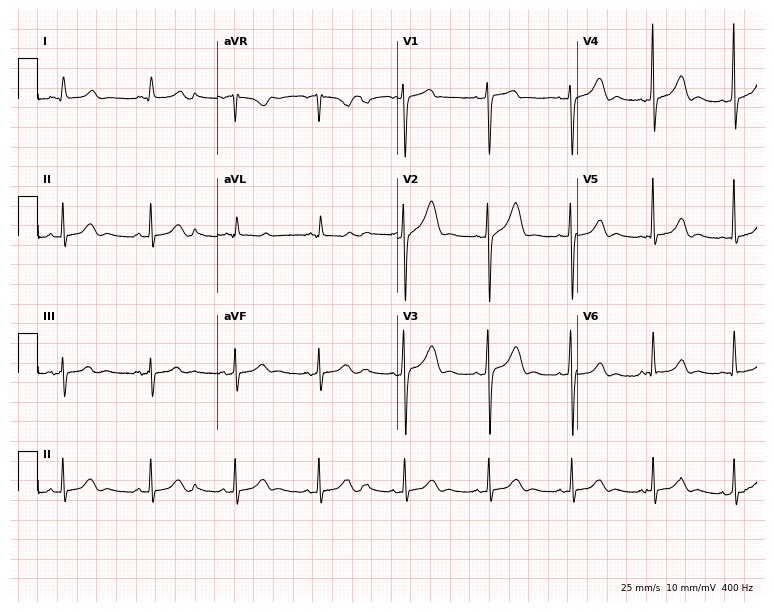
Resting 12-lead electrocardiogram. Patient: a female, 42 years old. Read as a normal ECG.